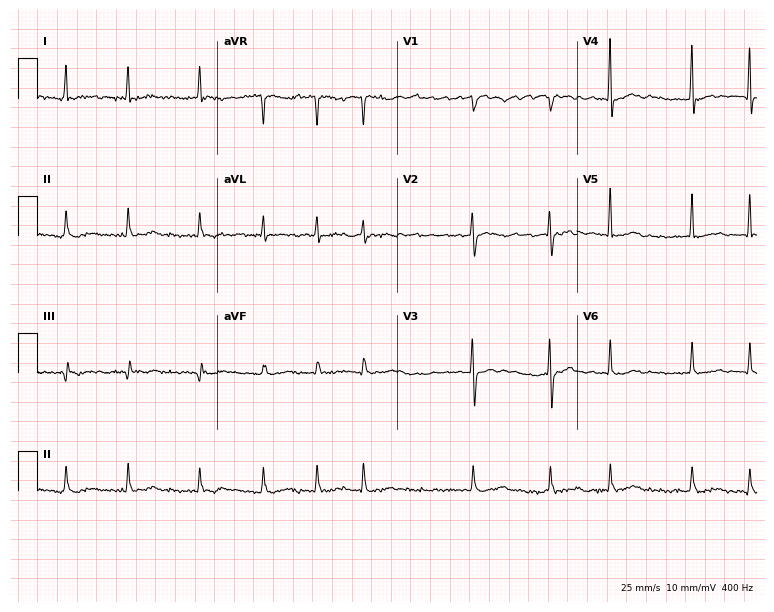
Standard 12-lead ECG recorded from a female patient, 84 years old. The tracing shows atrial fibrillation.